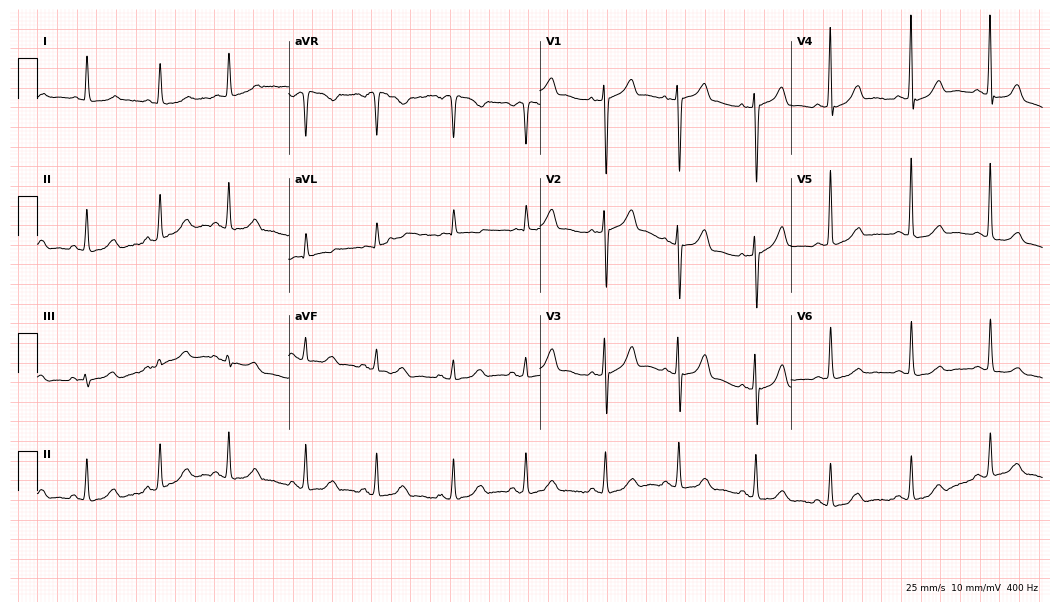
Standard 12-lead ECG recorded from a female patient, 74 years old. None of these six findings is recorded: first-degree AV block, right bundle branch block, left bundle branch block, sinus bradycardia, atrial fibrillation, sinus tachycardia. Only these six findings were labelled.